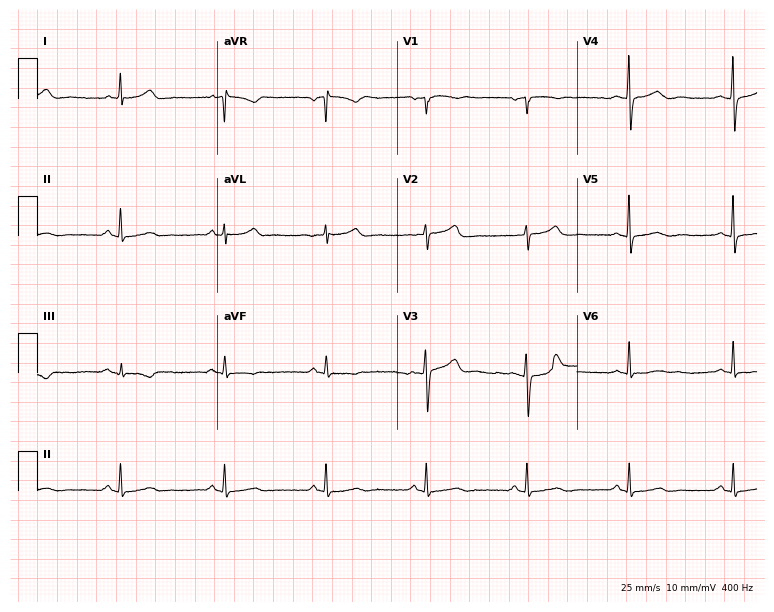
12-lead ECG from a 55-year-old man. Recorded interpretation: within normal limits.